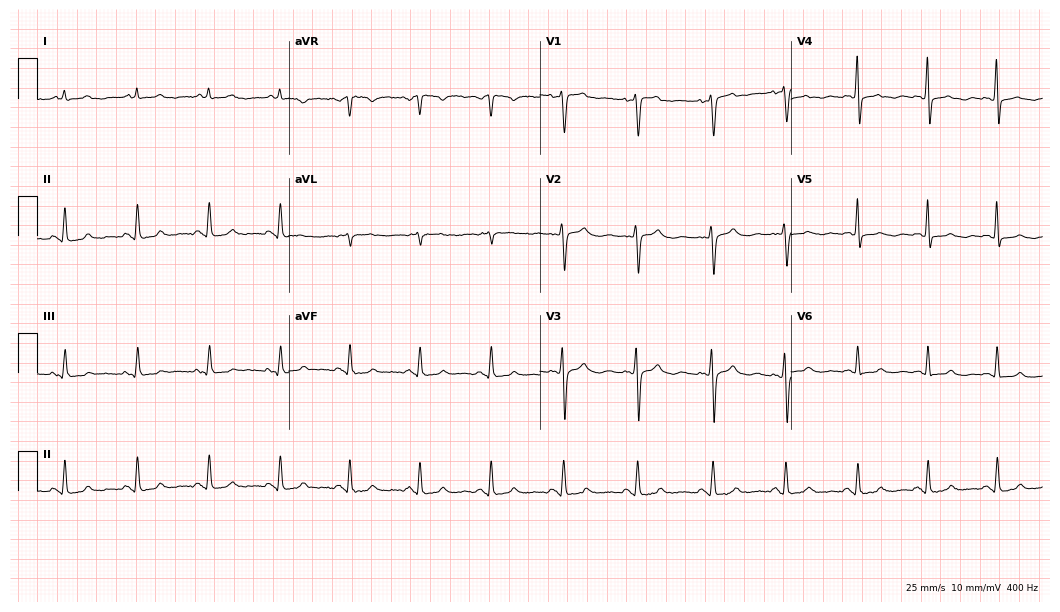
12-lead ECG from a 48-year-old female. No first-degree AV block, right bundle branch block, left bundle branch block, sinus bradycardia, atrial fibrillation or sinus tachycardia recorded for this tracing. Only these six findings were labelled.